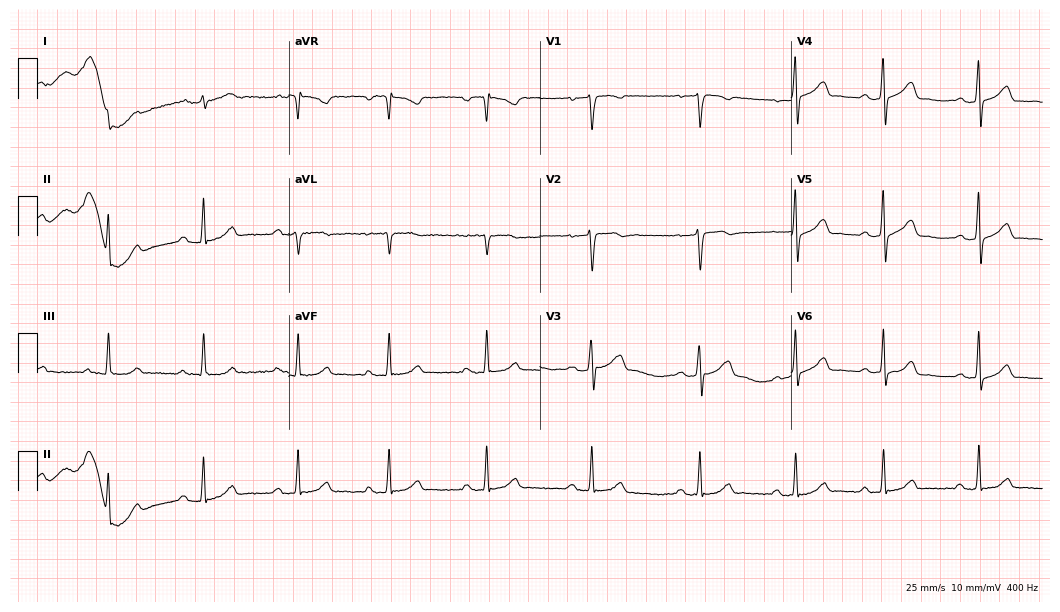
Resting 12-lead electrocardiogram. Patient: a female, 34 years old. Read as a normal ECG.